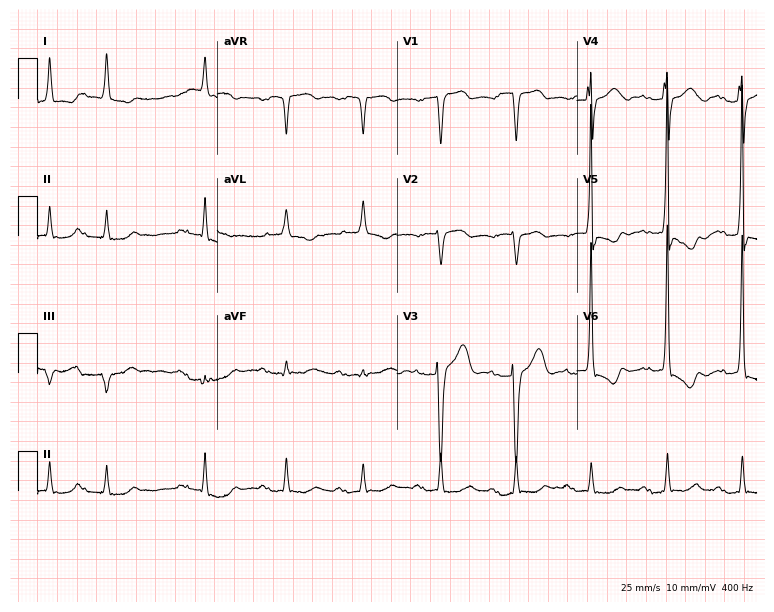
Standard 12-lead ECG recorded from a male, 85 years old (7.3-second recording at 400 Hz). The tracing shows first-degree AV block.